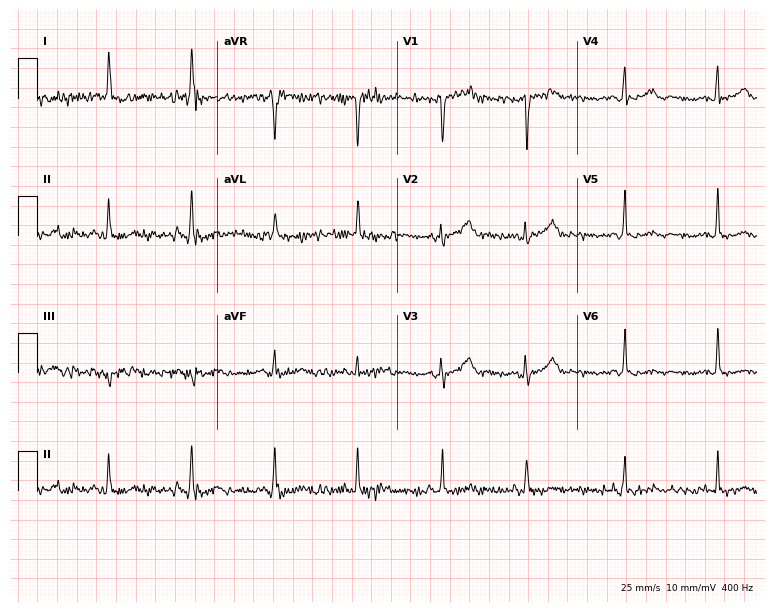
12-lead ECG from an 80-year-old female patient. No first-degree AV block, right bundle branch block (RBBB), left bundle branch block (LBBB), sinus bradycardia, atrial fibrillation (AF) or sinus tachycardia recorded for this tracing.